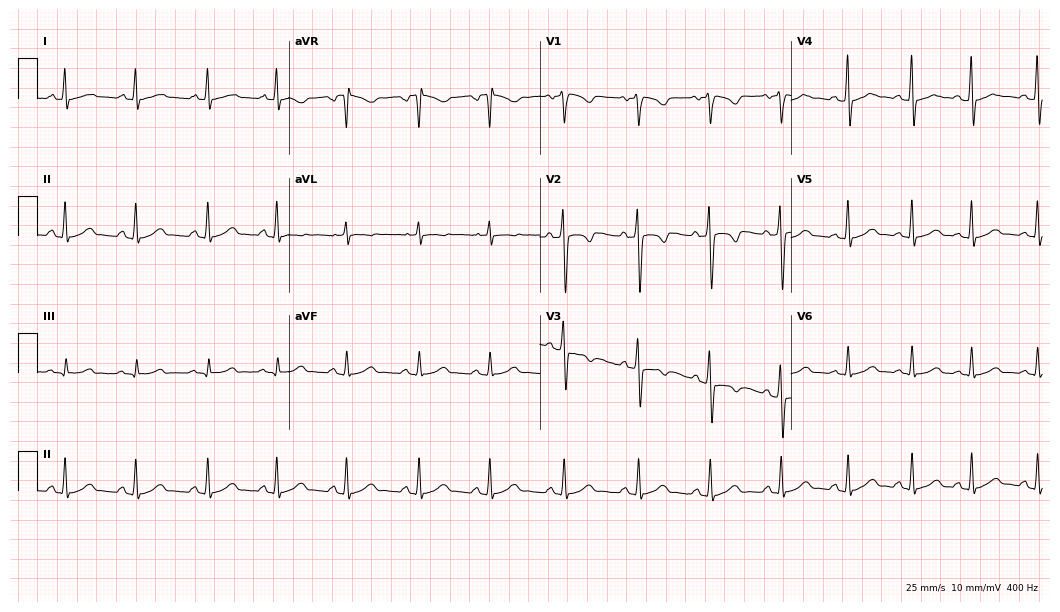
Resting 12-lead electrocardiogram. Patient: a 40-year-old woman. None of these six findings is recorded: first-degree AV block, right bundle branch block, left bundle branch block, sinus bradycardia, atrial fibrillation, sinus tachycardia. Findings outside these six are not listed.